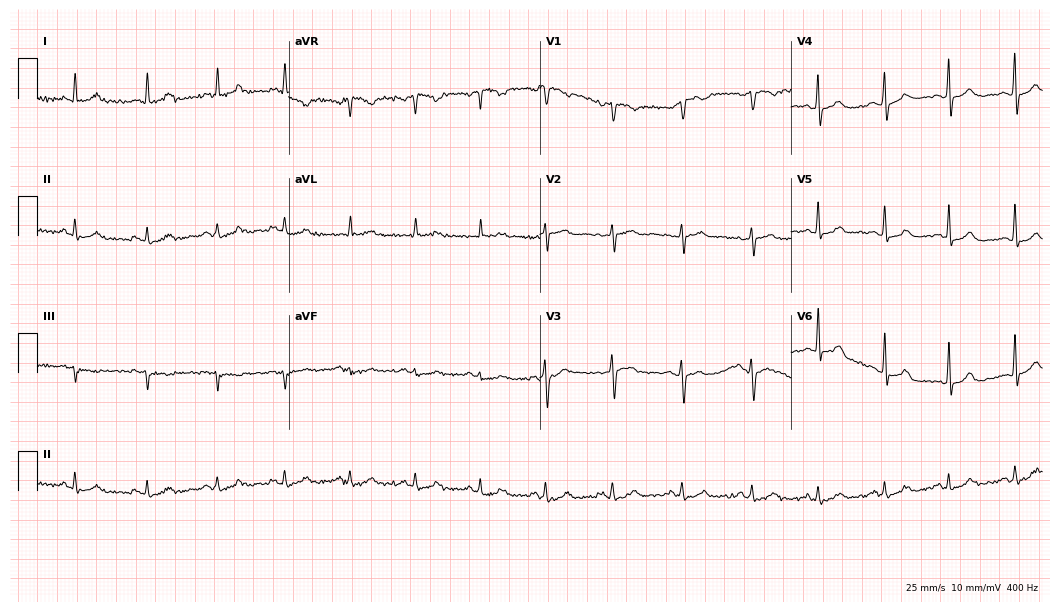
12-lead ECG from a female patient, 50 years old. Recorded interpretation: within normal limits.